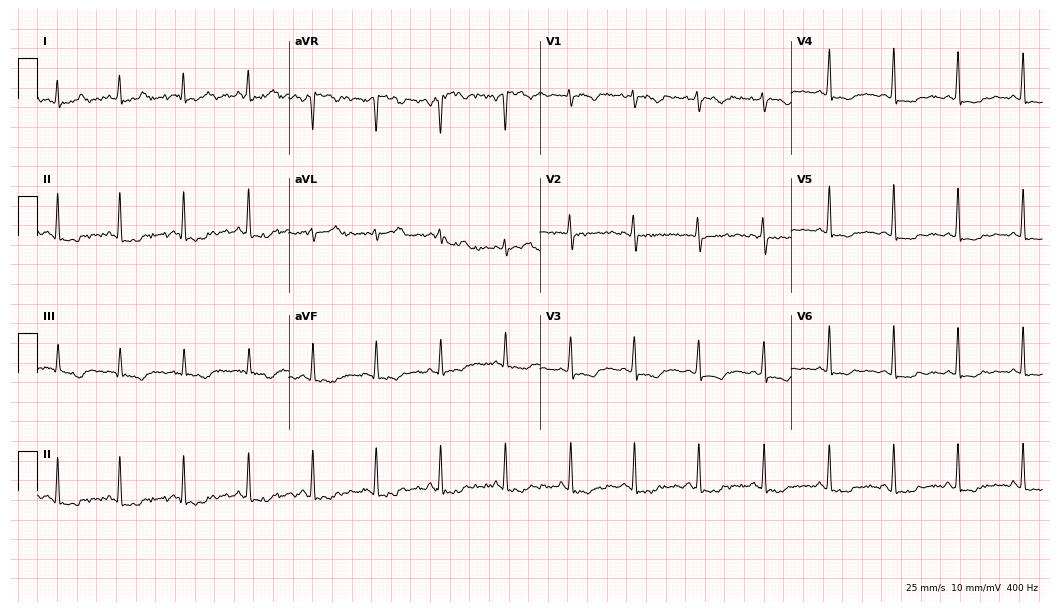
12-lead ECG from a 41-year-old female patient (10.2-second recording at 400 Hz). No first-degree AV block, right bundle branch block, left bundle branch block, sinus bradycardia, atrial fibrillation or sinus tachycardia recorded for this tracing.